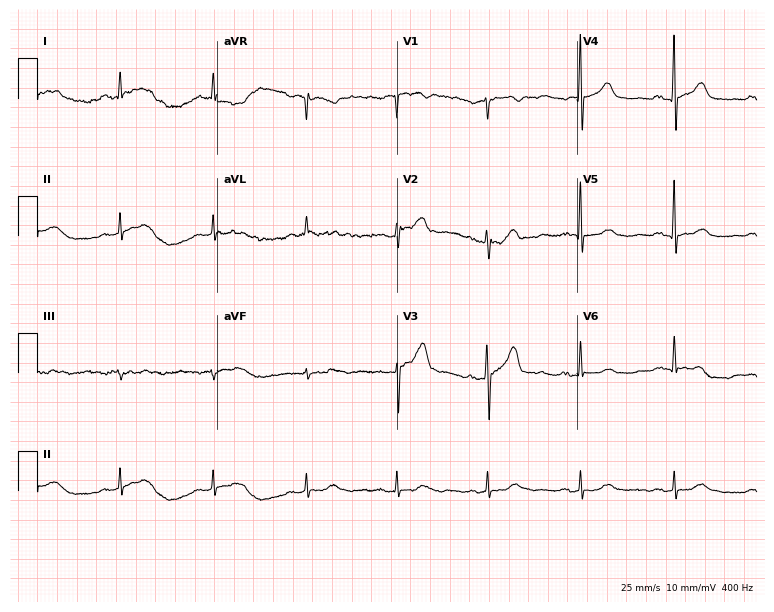
12-lead ECG from a male patient, 61 years old. Labelled as a normal ECG.